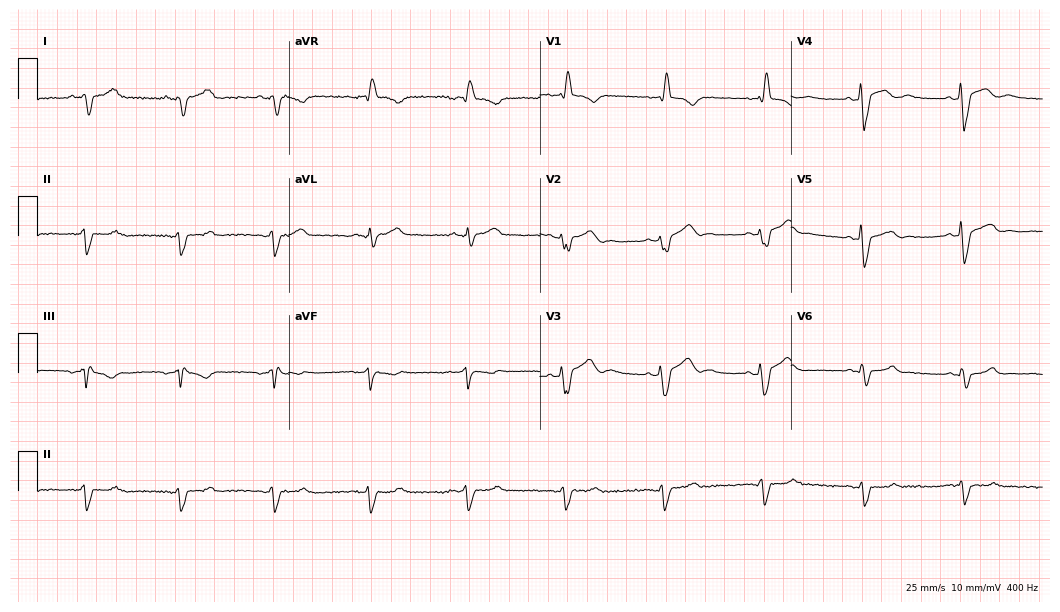
12-lead ECG from a male, 55 years old (10.2-second recording at 400 Hz). Shows right bundle branch block.